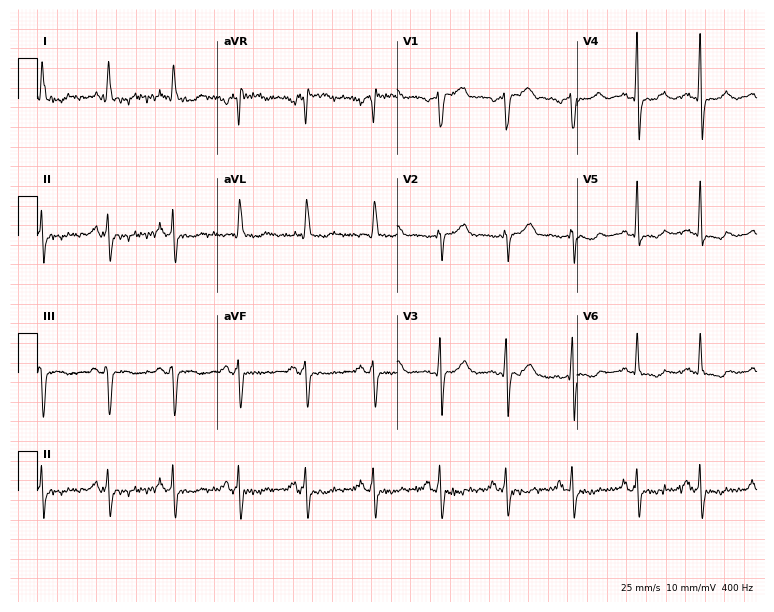
Resting 12-lead electrocardiogram (7.3-second recording at 400 Hz). Patient: a male, 68 years old. None of these six findings is recorded: first-degree AV block, right bundle branch block, left bundle branch block, sinus bradycardia, atrial fibrillation, sinus tachycardia. Findings outside these six are not listed.